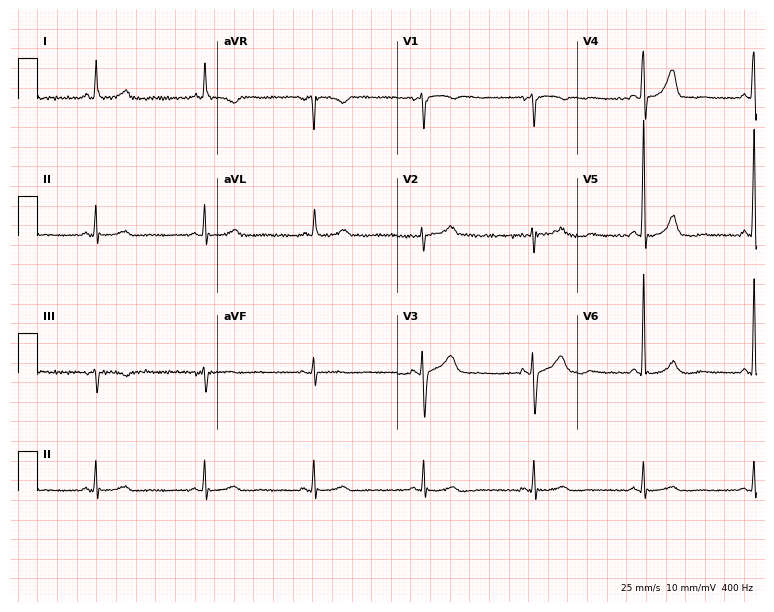
Electrocardiogram (7.3-second recording at 400 Hz), a 64-year-old female. Of the six screened findings (first-degree AV block, right bundle branch block, left bundle branch block, sinus bradycardia, atrial fibrillation, sinus tachycardia), none is recorded. Findings outside these six are not listed.